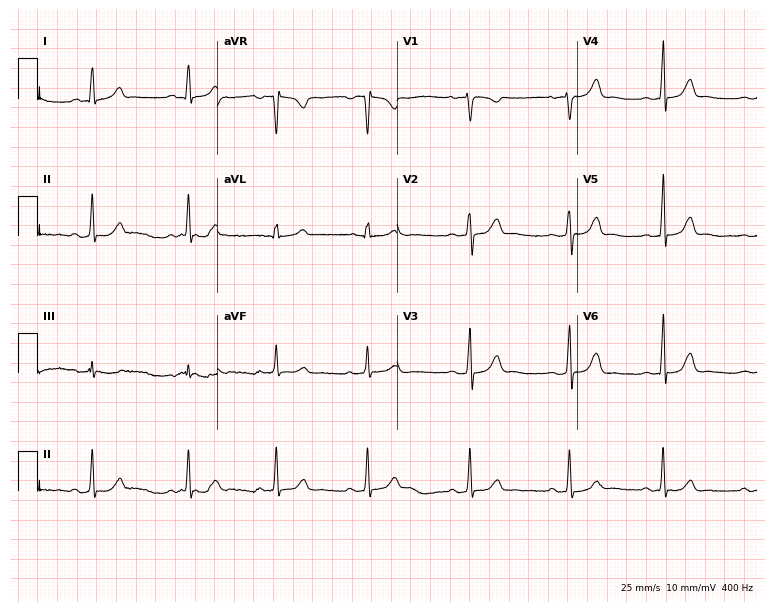
12-lead ECG from a woman, 24 years old (7.3-second recording at 400 Hz). No first-degree AV block, right bundle branch block (RBBB), left bundle branch block (LBBB), sinus bradycardia, atrial fibrillation (AF) or sinus tachycardia recorded for this tracing.